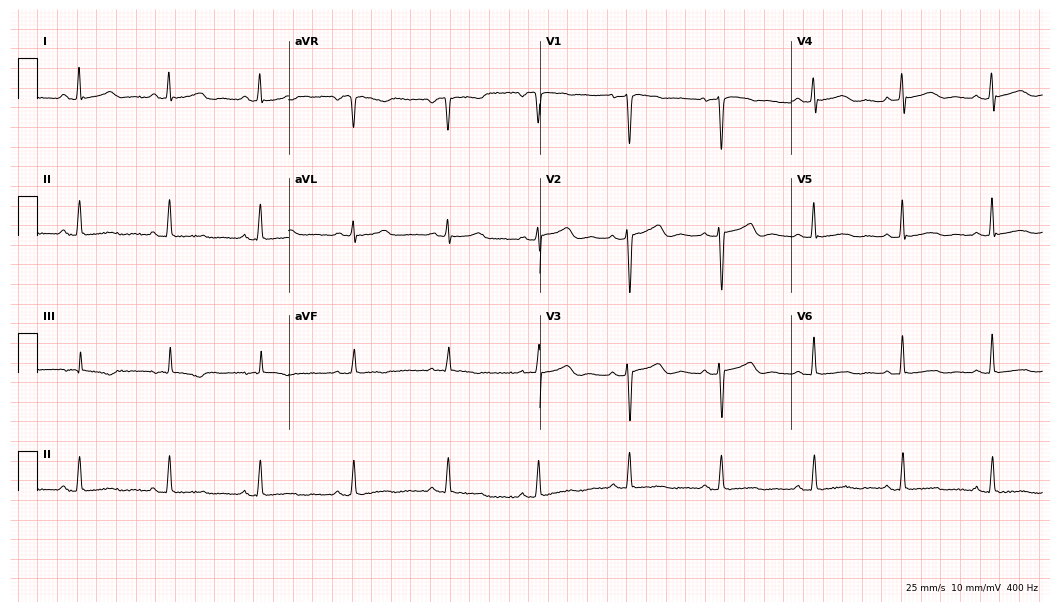
ECG (10.2-second recording at 400 Hz) — a female, 46 years old. Screened for six findings — first-degree AV block, right bundle branch block, left bundle branch block, sinus bradycardia, atrial fibrillation, sinus tachycardia — none is recorded.